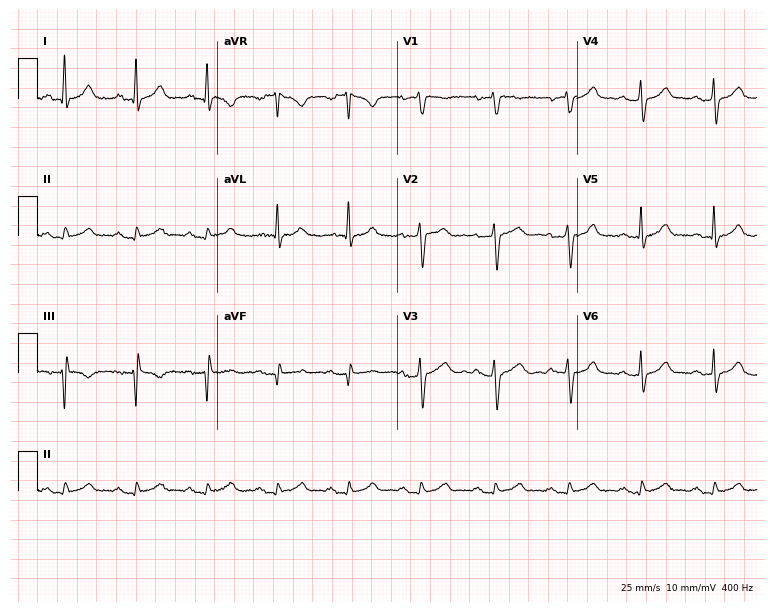
12-lead ECG from a 57-year-old male (7.3-second recording at 400 Hz). Recorded interpretation: within normal limits.